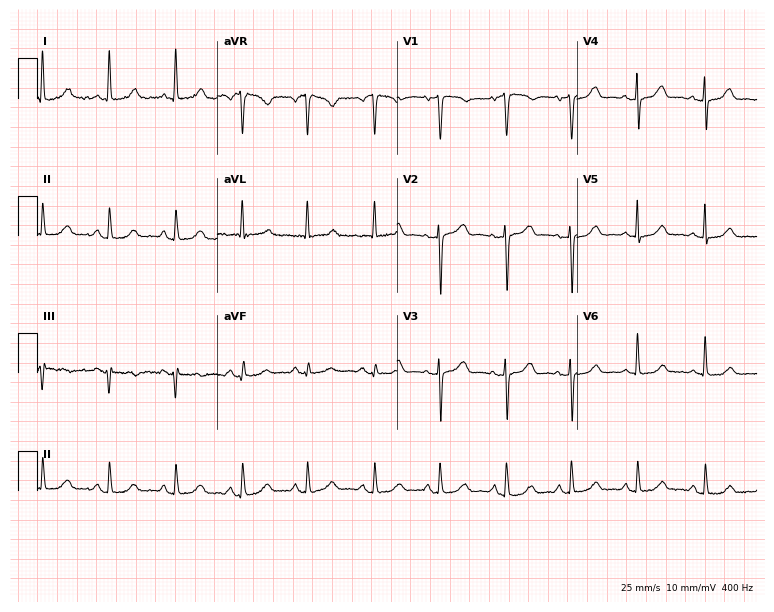
12-lead ECG from a 75-year-old female. Screened for six findings — first-degree AV block, right bundle branch block, left bundle branch block, sinus bradycardia, atrial fibrillation, sinus tachycardia — none is recorded.